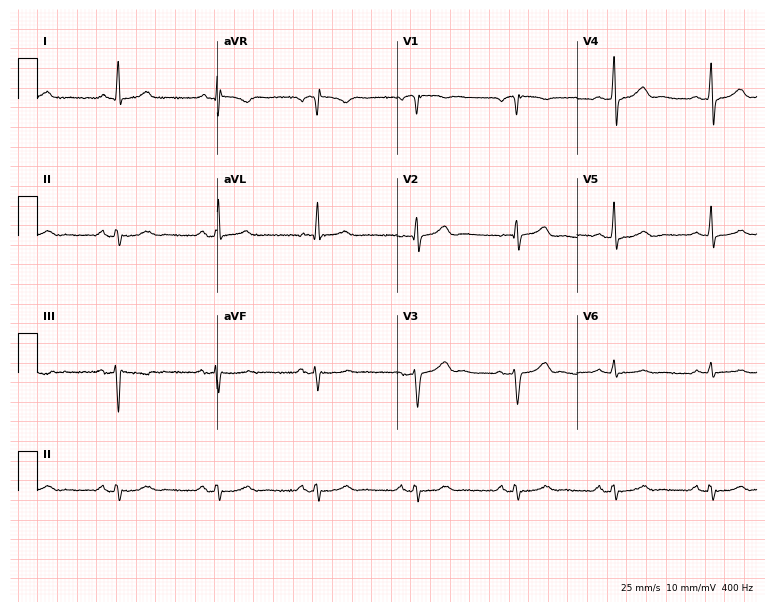
Standard 12-lead ECG recorded from a man, 68 years old. None of these six findings is recorded: first-degree AV block, right bundle branch block (RBBB), left bundle branch block (LBBB), sinus bradycardia, atrial fibrillation (AF), sinus tachycardia.